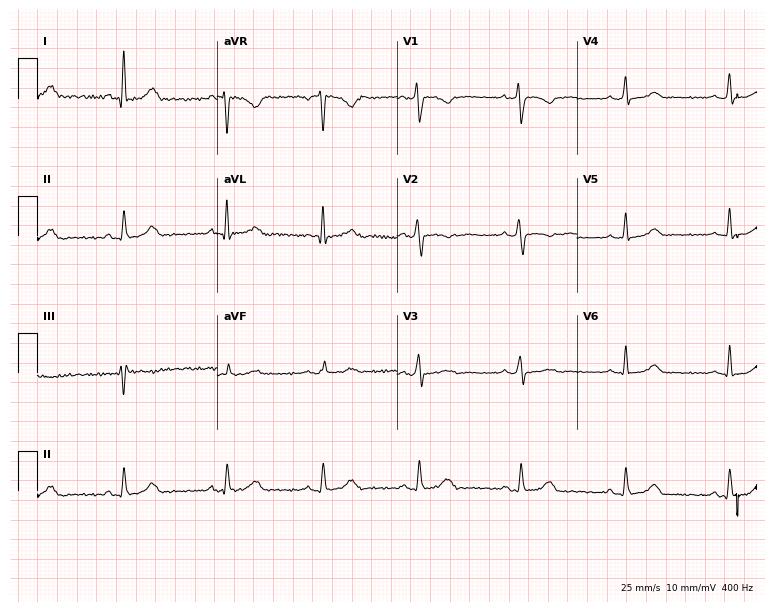
Electrocardiogram (7.3-second recording at 400 Hz), a female patient, 33 years old. Of the six screened findings (first-degree AV block, right bundle branch block, left bundle branch block, sinus bradycardia, atrial fibrillation, sinus tachycardia), none is recorded.